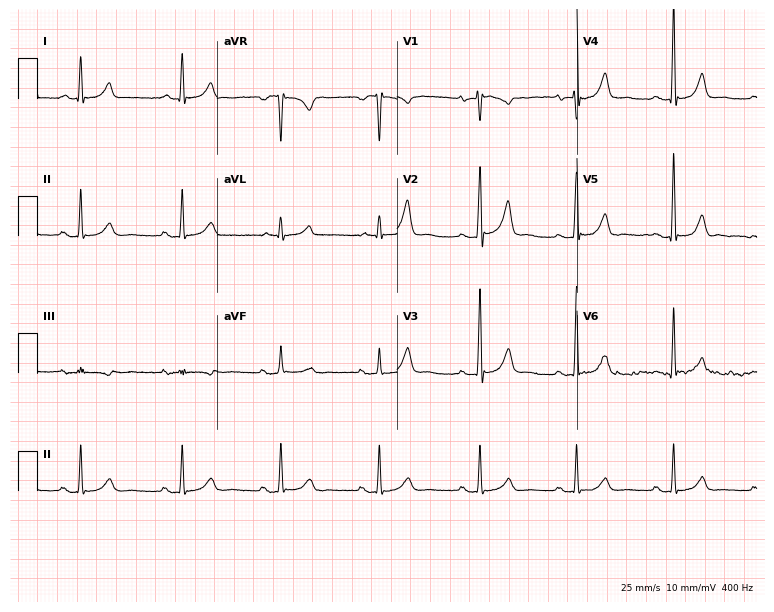
ECG — a female patient, 61 years old. Labelled as a normal ECG.